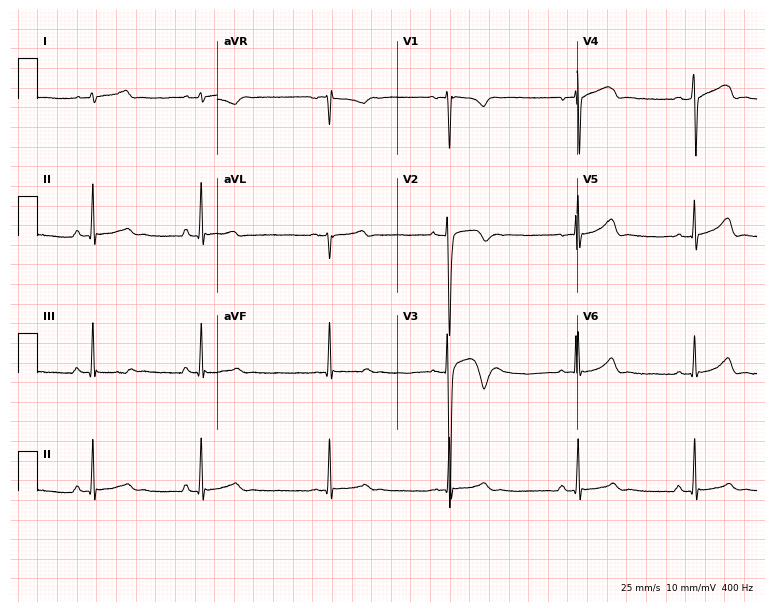
12-lead ECG from a male patient, 17 years old. Findings include sinus bradycardia (a sinus rate of 50 beats per minute or less).